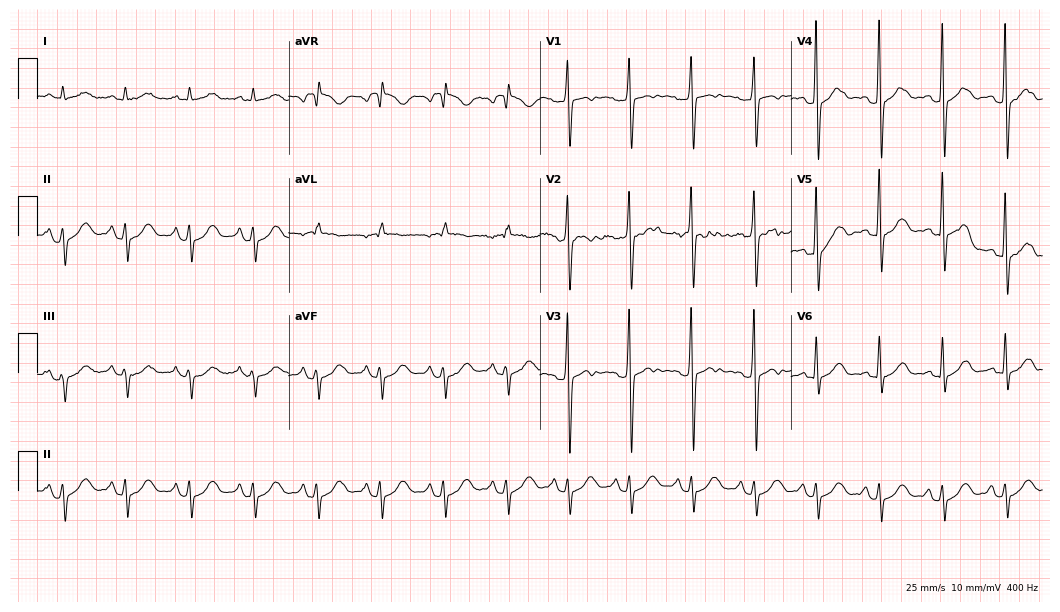
Resting 12-lead electrocardiogram. Patient: a 62-year-old male. None of these six findings is recorded: first-degree AV block, right bundle branch block, left bundle branch block, sinus bradycardia, atrial fibrillation, sinus tachycardia. Other findings, if any, are not listed.